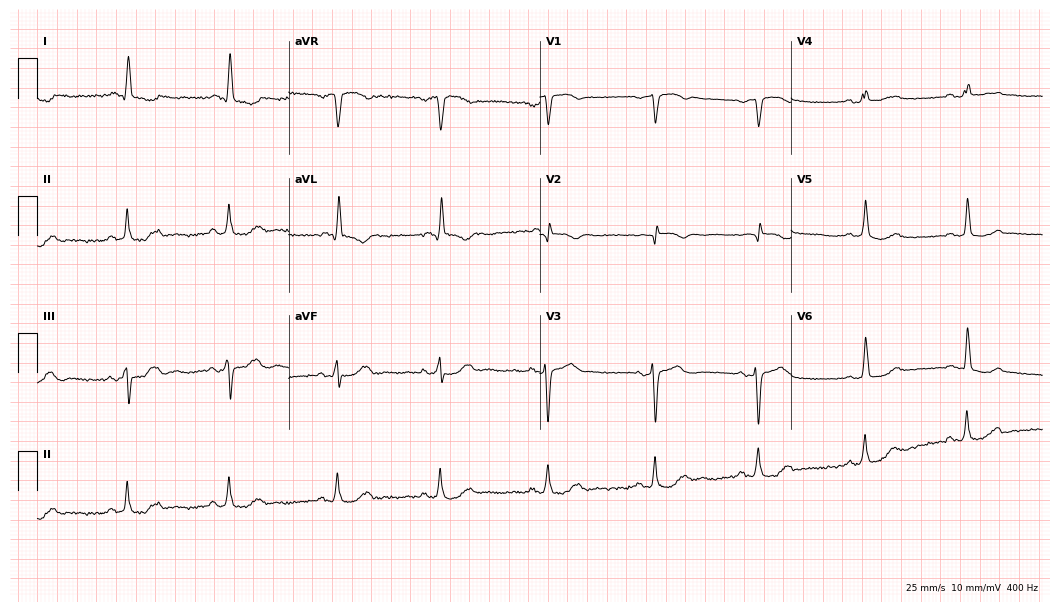
12-lead ECG from a female, 80 years old (10.2-second recording at 400 Hz). Recorded interpretation: within normal limits.